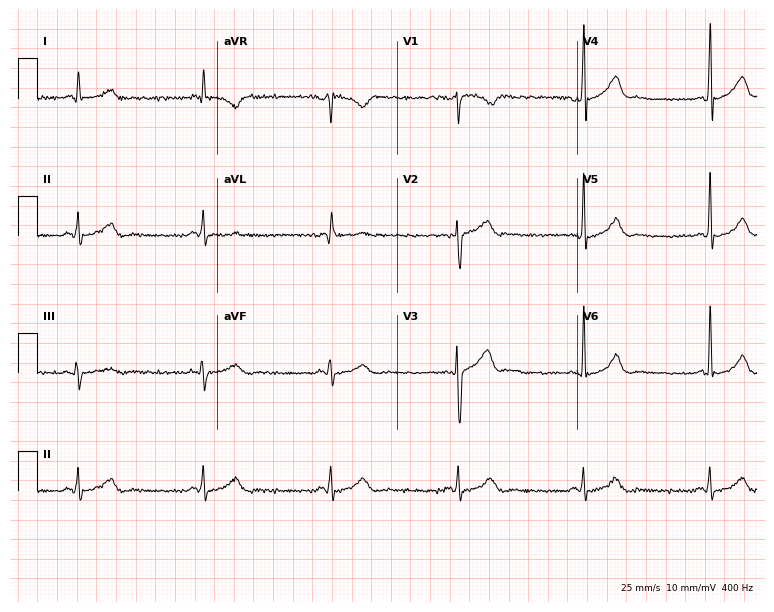
Standard 12-lead ECG recorded from a male patient, 58 years old. None of these six findings is recorded: first-degree AV block, right bundle branch block (RBBB), left bundle branch block (LBBB), sinus bradycardia, atrial fibrillation (AF), sinus tachycardia.